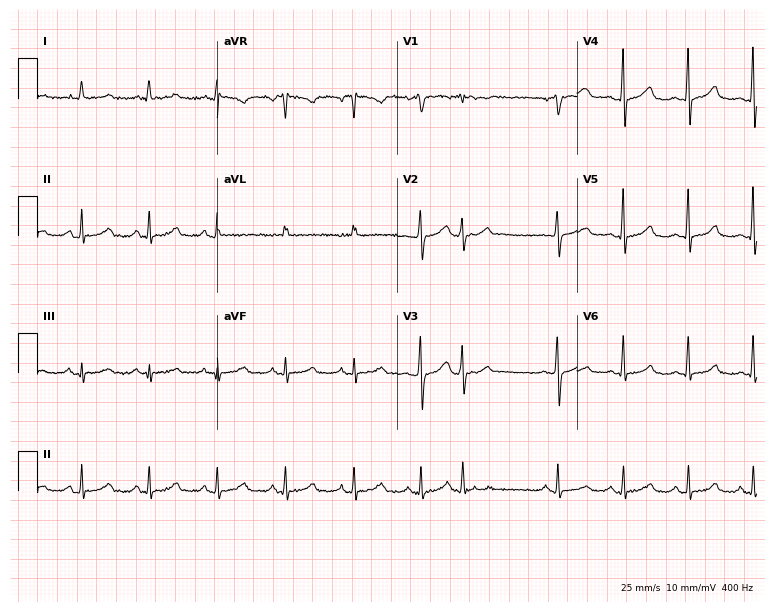
Electrocardiogram (7.3-second recording at 400 Hz), a 45-year-old female. Of the six screened findings (first-degree AV block, right bundle branch block, left bundle branch block, sinus bradycardia, atrial fibrillation, sinus tachycardia), none is recorded. Findings outside these six are not listed.